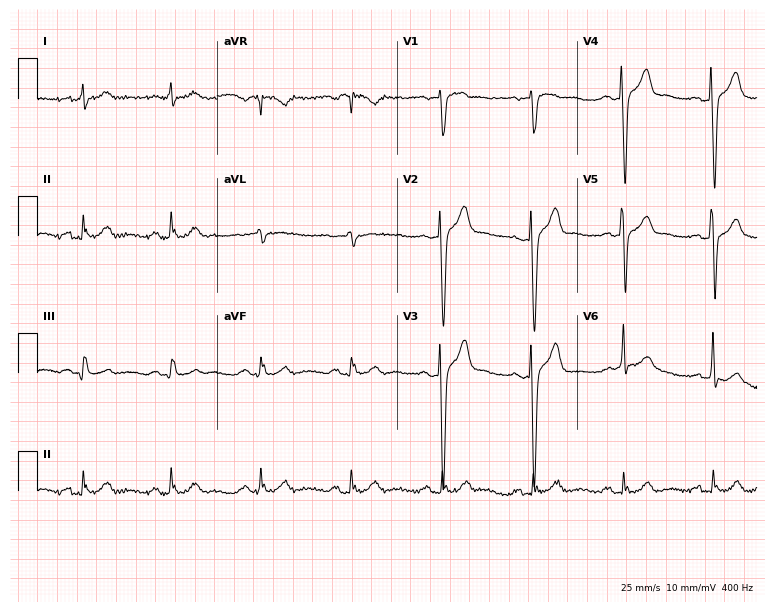
Standard 12-lead ECG recorded from a man, 61 years old. Read as a normal ECG.